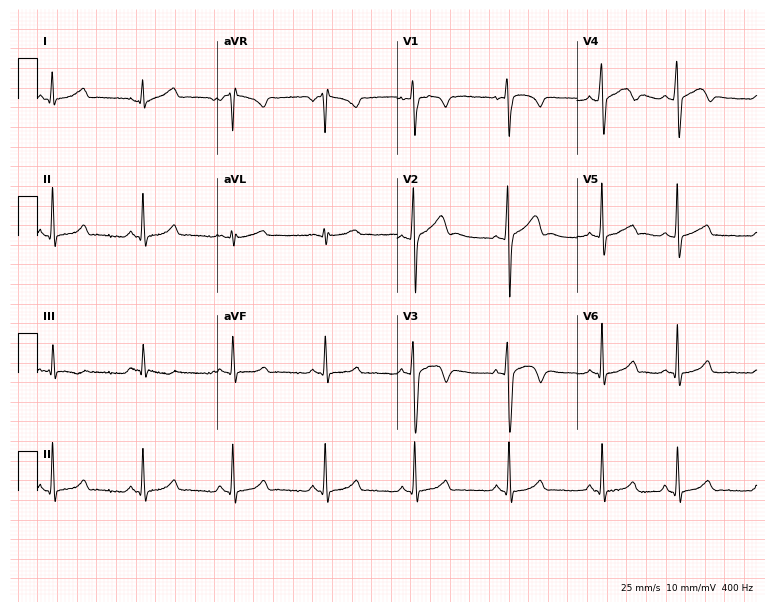
12-lead ECG from a 23-year-old male patient. Labelled as a normal ECG.